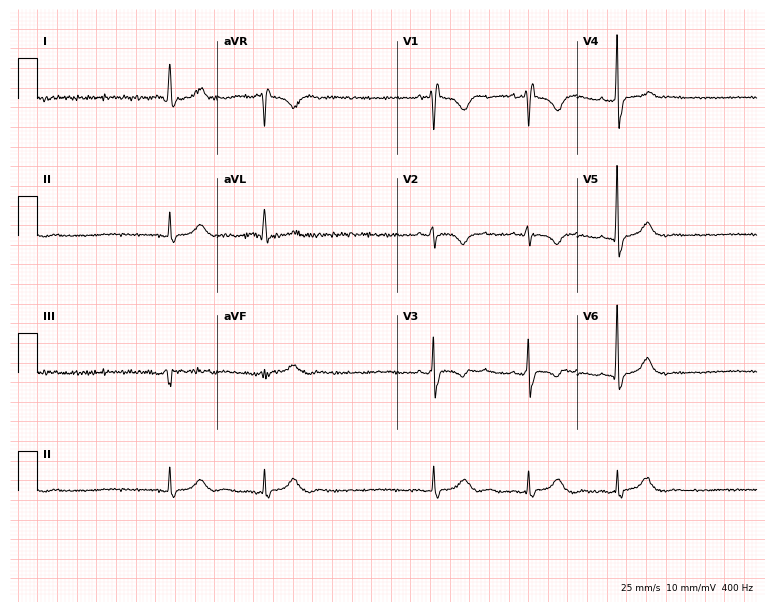
12-lead ECG (7.3-second recording at 400 Hz) from a 50-year-old female. Screened for six findings — first-degree AV block, right bundle branch block, left bundle branch block, sinus bradycardia, atrial fibrillation, sinus tachycardia — none is recorded. Only these six findings were labelled.